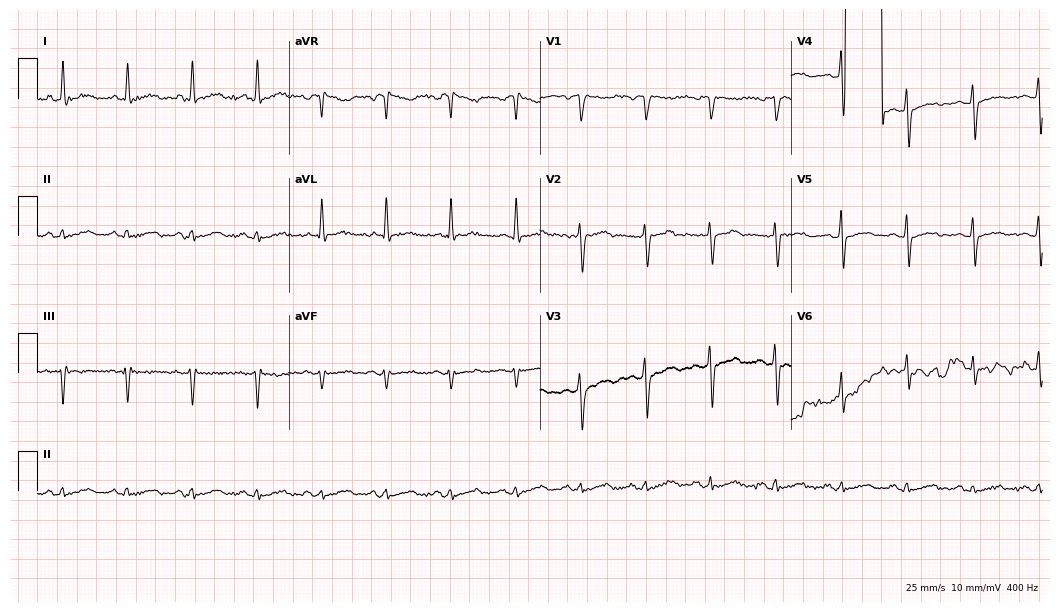
12-lead ECG from a 50-year-old female patient (10.2-second recording at 400 Hz). No first-degree AV block, right bundle branch block, left bundle branch block, sinus bradycardia, atrial fibrillation or sinus tachycardia recorded for this tracing. Findings outside these six are not listed.